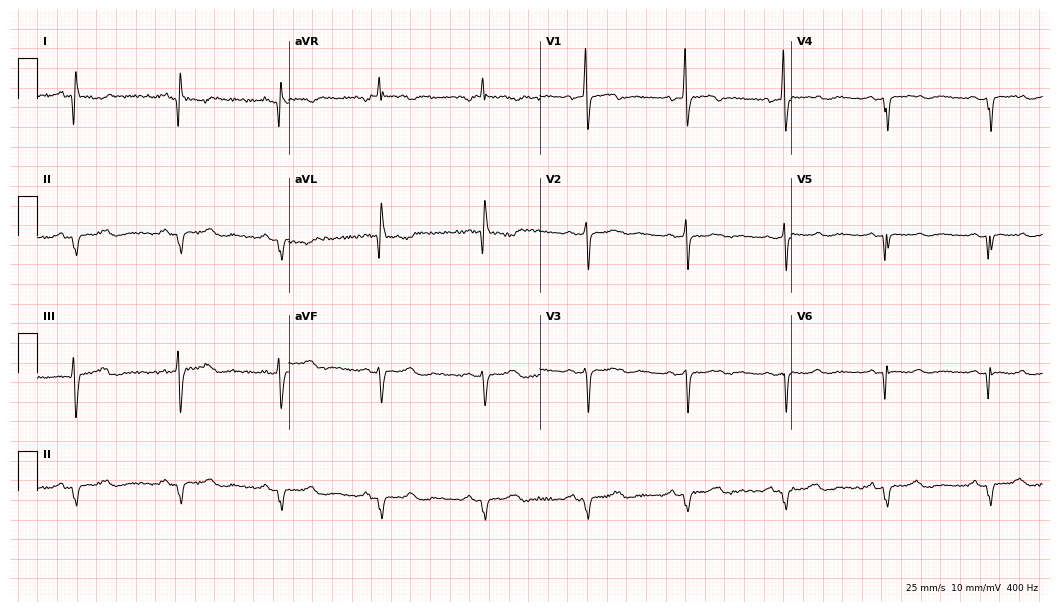
12-lead ECG from a woman, 75 years old (10.2-second recording at 400 Hz). No first-degree AV block, right bundle branch block, left bundle branch block, sinus bradycardia, atrial fibrillation or sinus tachycardia recorded for this tracing.